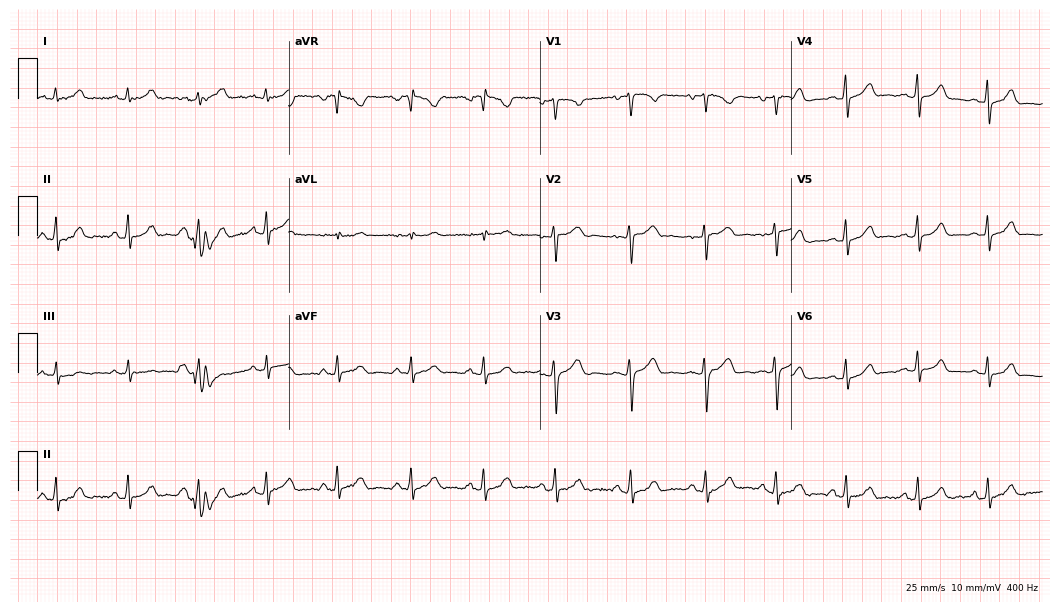
Electrocardiogram (10.2-second recording at 400 Hz), a 19-year-old female patient. Overall reading on record: normal ECG.